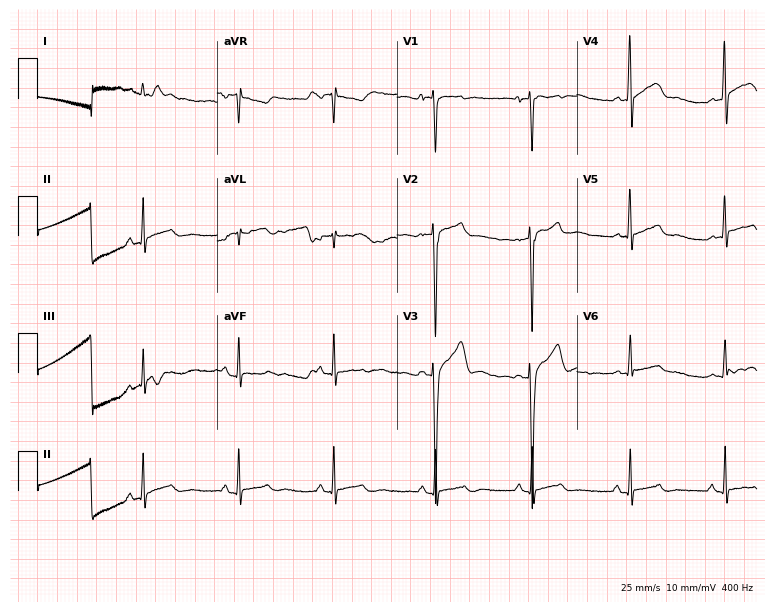
Electrocardiogram, a 17-year-old man. Of the six screened findings (first-degree AV block, right bundle branch block (RBBB), left bundle branch block (LBBB), sinus bradycardia, atrial fibrillation (AF), sinus tachycardia), none is recorded. Only these six findings were labelled.